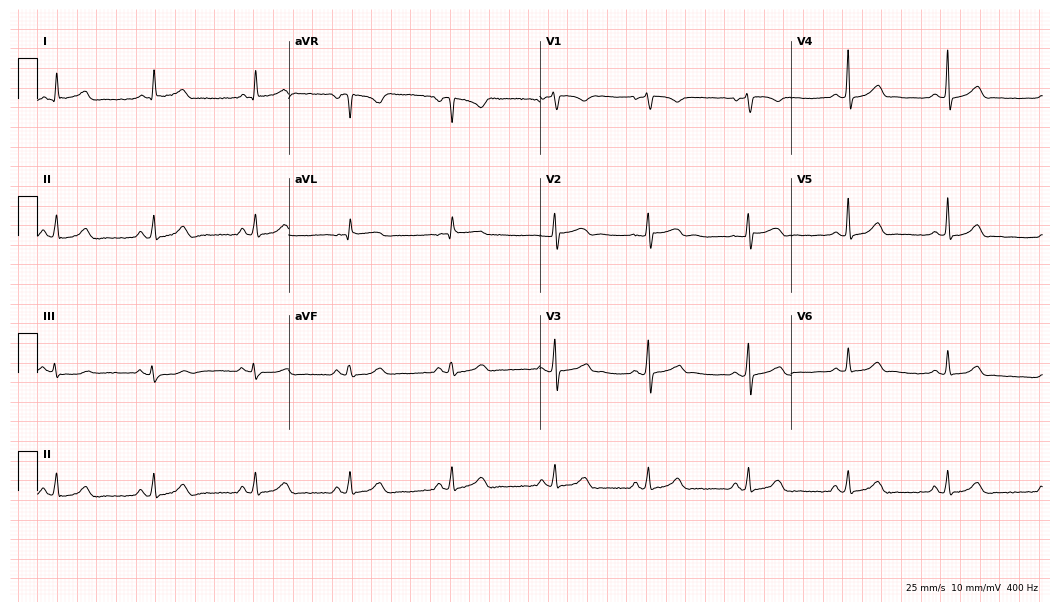
Resting 12-lead electrocardiogram (10.2-second recording at 400 Hz). Patient: a woman, 46 years old. Read as a normal ECG.